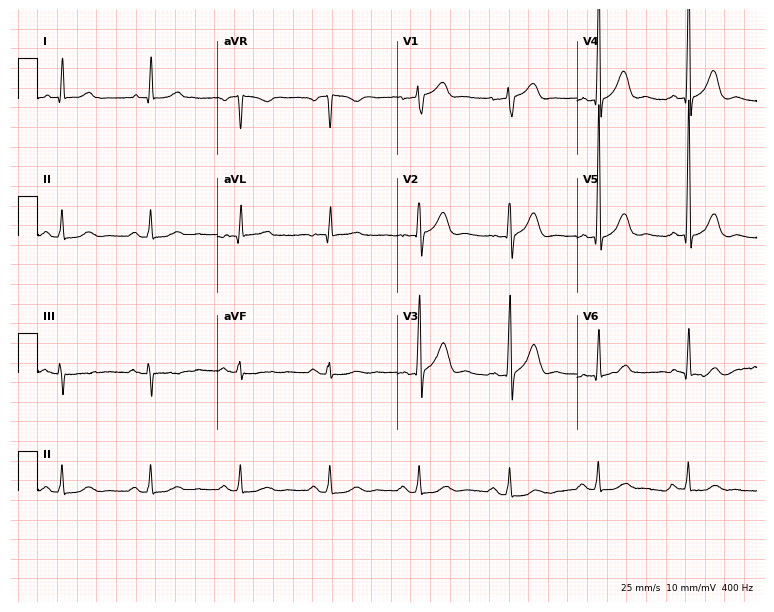
Standard 12-lead ECG recorded from a male, 72 years old. Read as a normal ECG.